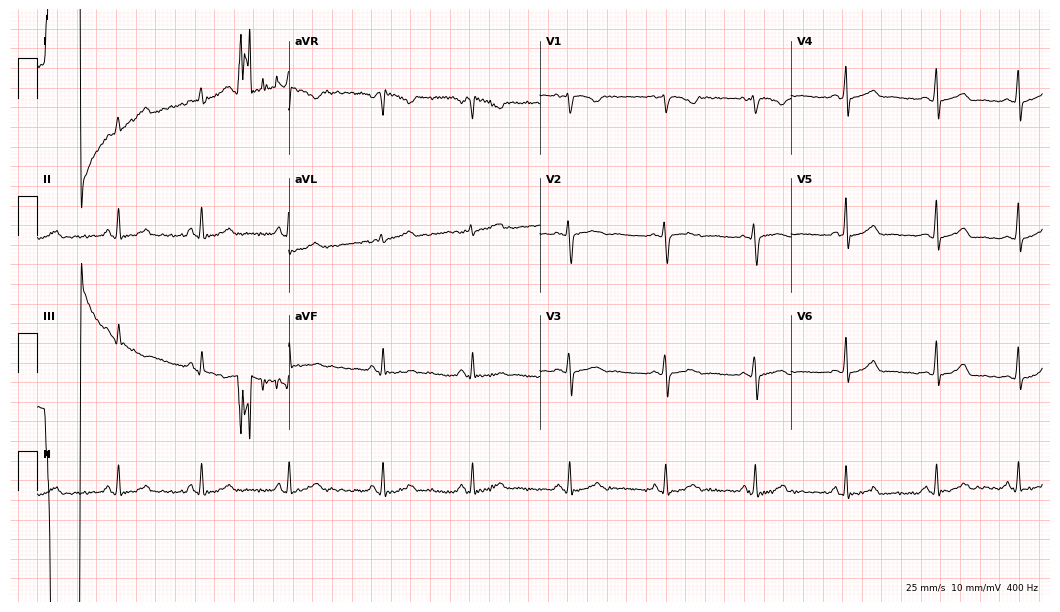
12-lead ECG (10.2-second recording at 400 Hz) from a female, 29 years old. Screened for six findings — first-degree AV block, right bundle branch block, left bundle branch block, sinus bradycardia, atrial fibrillation, sinus tachycardia — none is recorded.